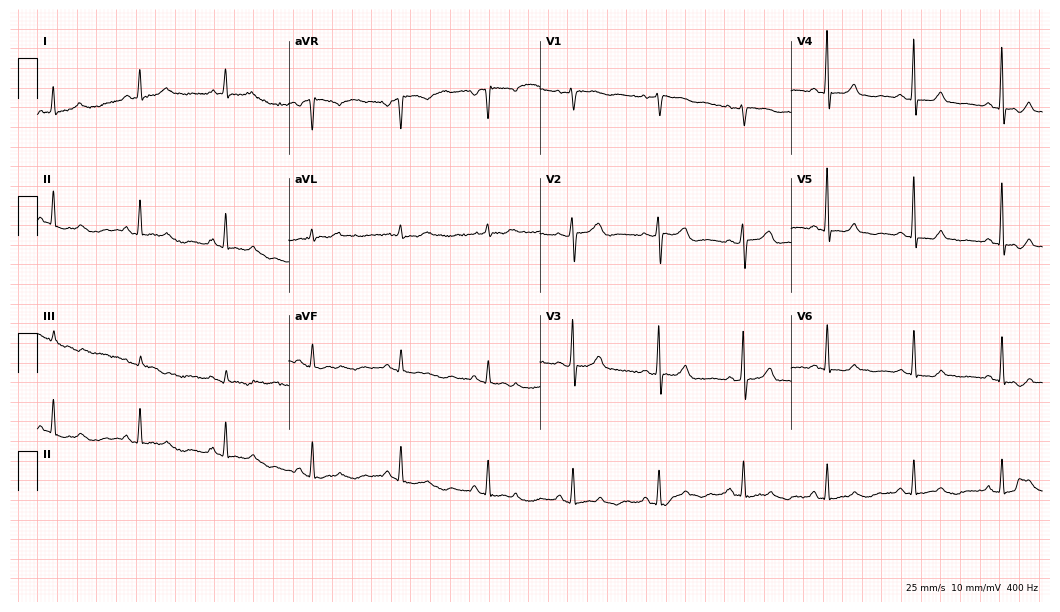
12-lead ECG from a 54-year-old woman. No first-degree AV block, right bundle branch block (RBBB), left bundle branch block (LBBB), sinus bradycardia, atrial fibrillation (AF) or sinus tachycardia recorded for this tracing.